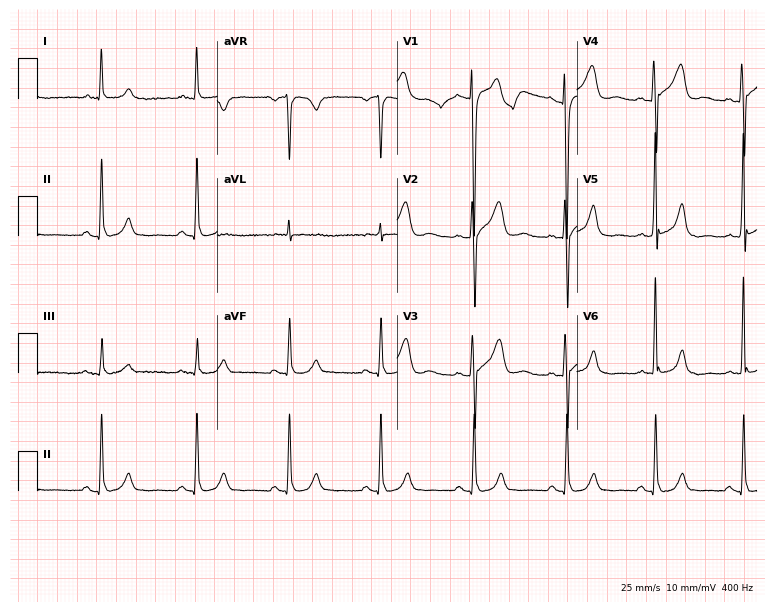
Electrocardiogram, a 50-year-old male patient. Of the six screened findings (first-degree AV block, right bundle branch block, left bundle branch block, sinus bradycardia, atrial fibrillation, sinus tachycardia), none is recorded.